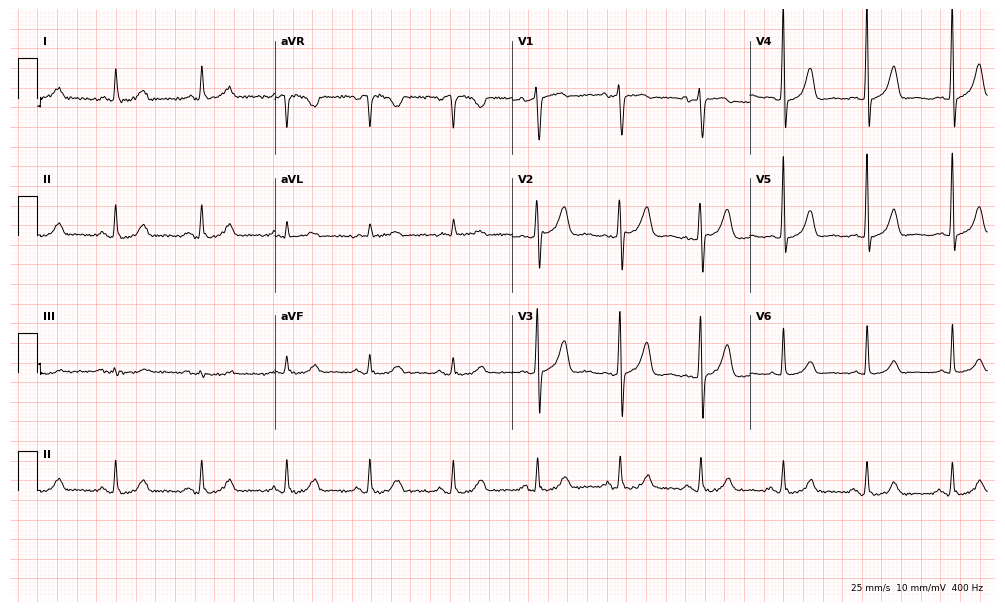
Resting 12-lead electrocardiogram. Patient: a 57-year-old female. Read as a normal ECG.